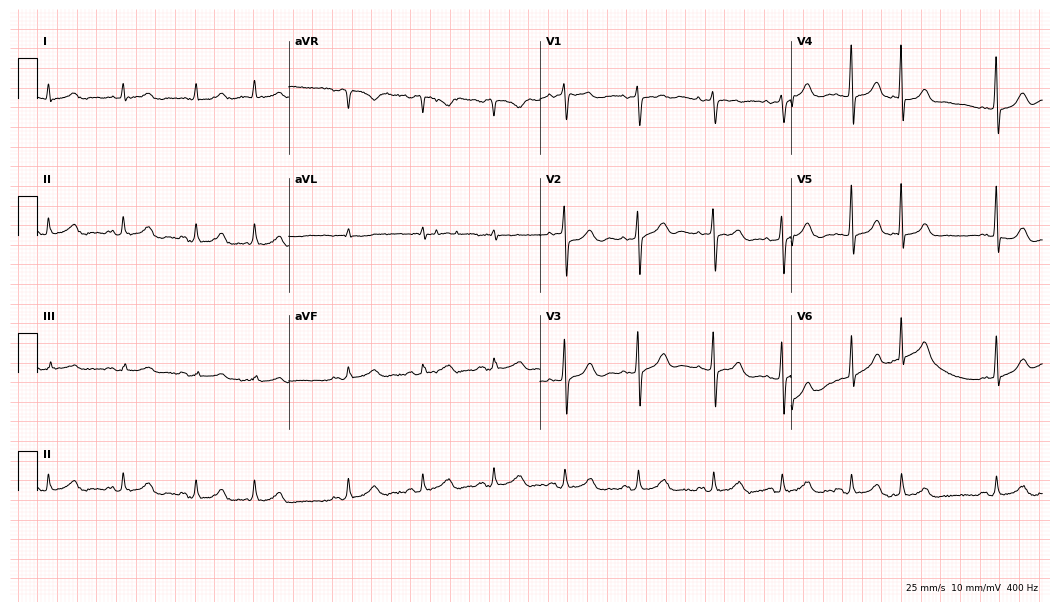
ECG (10.2-second recording at 400 Hz) — a 78-year-old female patient. Screened for six findings — first-degree AV block, right bundle branch block (RBBB), left bundle branch block (LBBB), sinus bradycardia, atrial fibrillation (AF), sinus tachycardia — none is recorded.